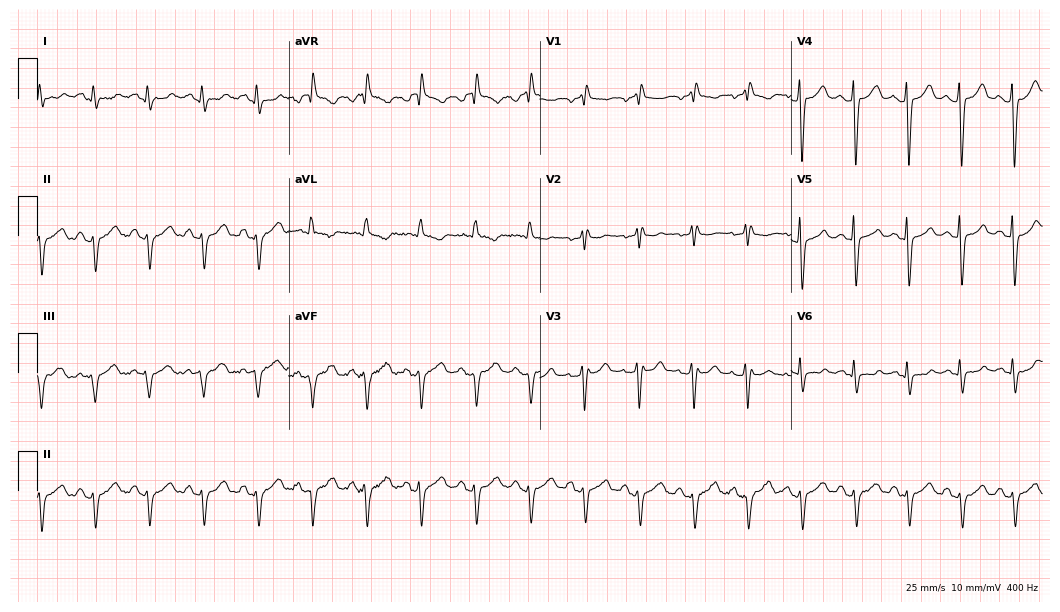
12-lead ECG from a female patient, 53 years old. Findings include sinus tachycardia (a sinus rate of 100 beats per minute or more).